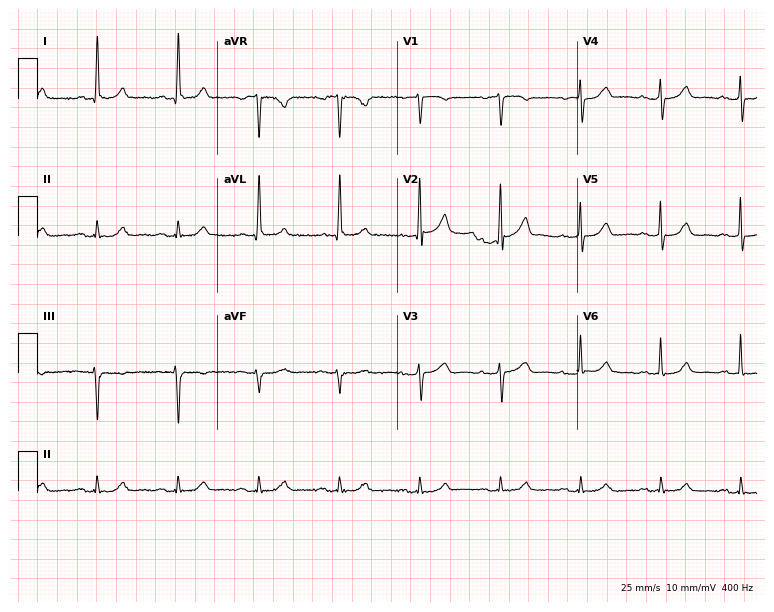
Electrocardiogram (7.3-second recording at 400 Hz), a woman, 76 years old. Overall reading on record: normal ECG.